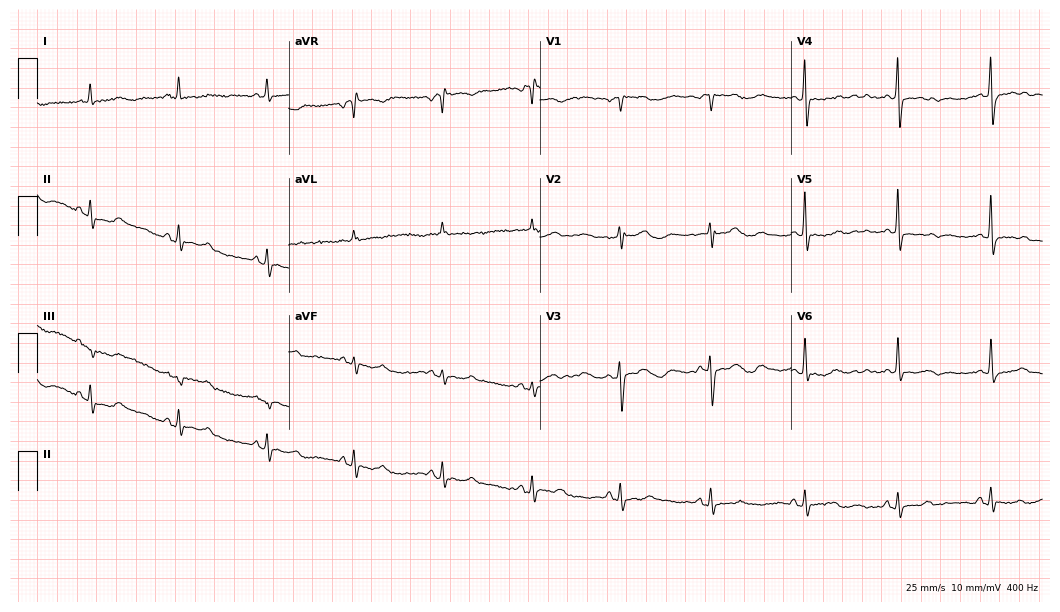
Resting 12-lead electrocardiogram (10.2-second recording at 400 Hz). Patient: a 50-year-old woman. None of these six findings is recorded: first-degree AV block, right bundle branch block (RBBB), left bundle branch block (LBBB), sinus bradycardia, atrial fibrillation (AF), sinus tachycardia. Only these six findings were labelled.